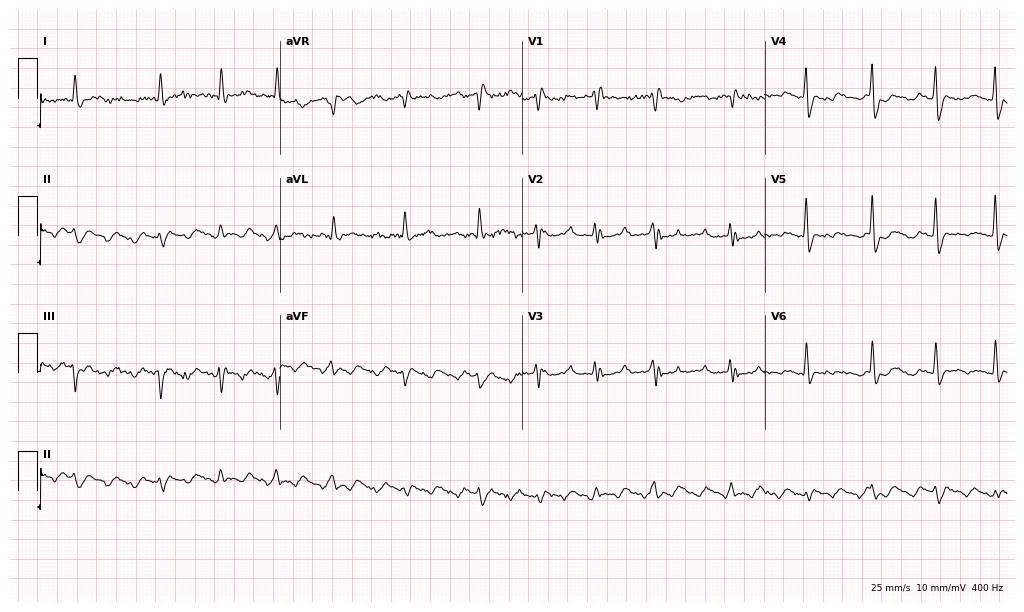
12-lead ECG from a male patient, 83 years old. Screened for six findings — first-degree AV block, right bundle branch block (RBBB), left bundle branch block (LBBB), sinus bradycardia, atrial fibrillation (AF), sinus tachycardia — none is recorded. Findings outside these six are not listed.